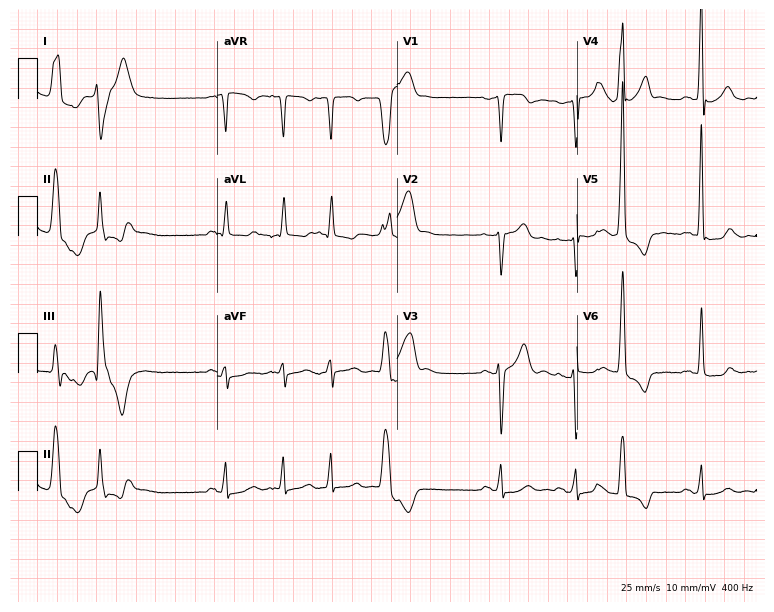
Electrocardiogram (7.3-second recording at 400 Hz), a 63-year-old male patient. Of the six screened findings (first-degree AV block, right bundle branch block, left bundle branch block, sinus bradycardia, atrial fibrillation, sinus tachycardia), none is recorded. Only these six findings were labelled.